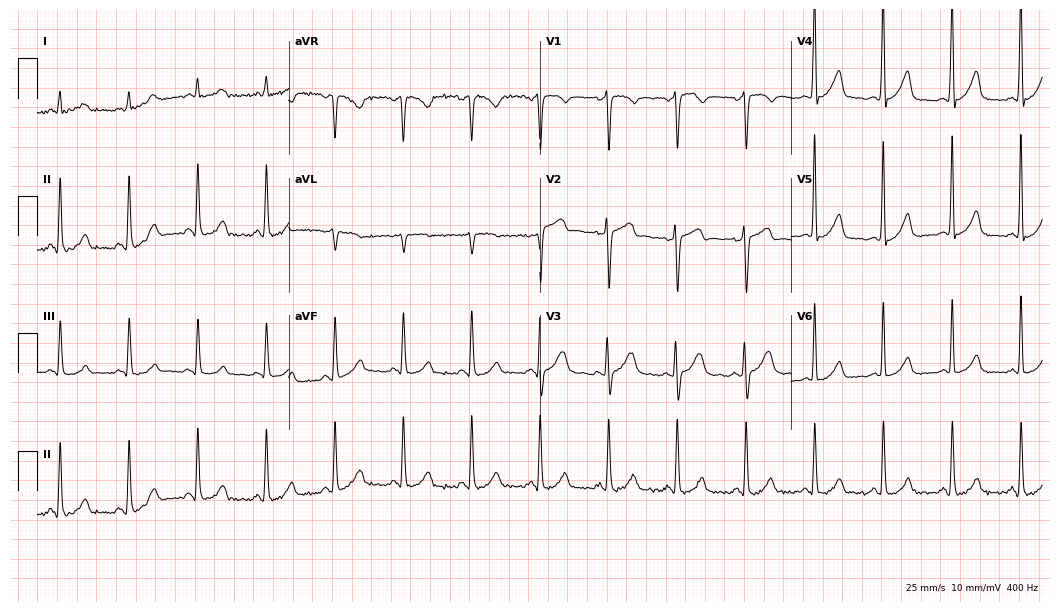
Electrocardiogram (10.2-second recording at 400 Hz), a 61-year-old male patient. Overall reading on record: normal ECG.